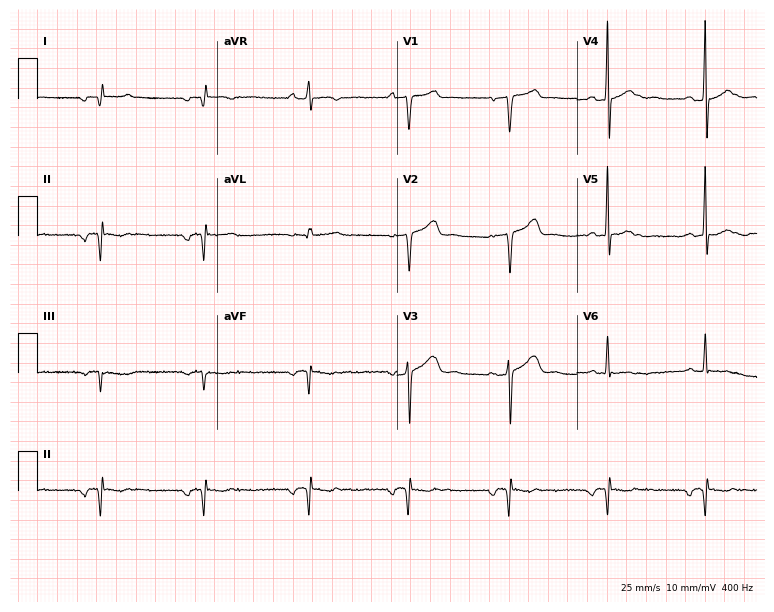
Standard 12-lead ECG recorded from a 48-year-old man. None of these six findings is recorded: first-degree AV block, right bundle branch block, left bundle branch block, sinus bradycardia, atrial fibrillation, sinus tachycardia. Findings outside these six are not listed.